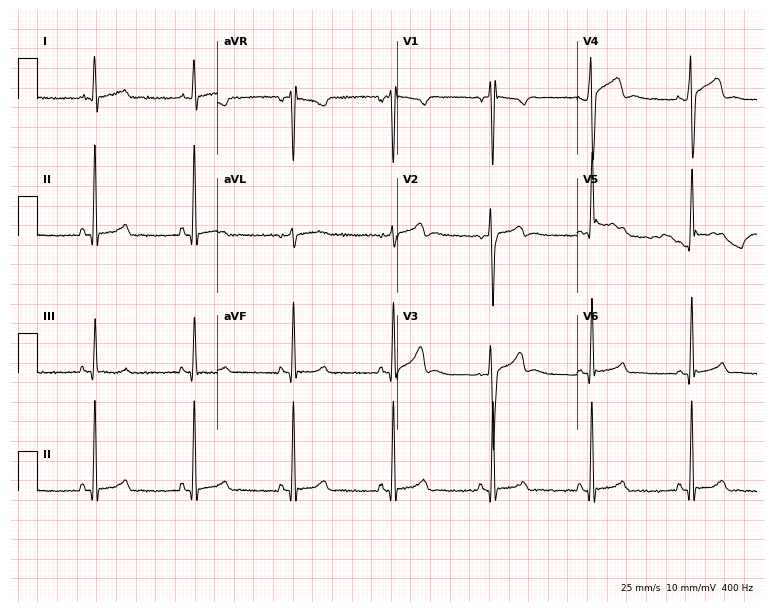
Standard 12-lead ECG recorded from a man, 21 years old. Read as a normal ECG.